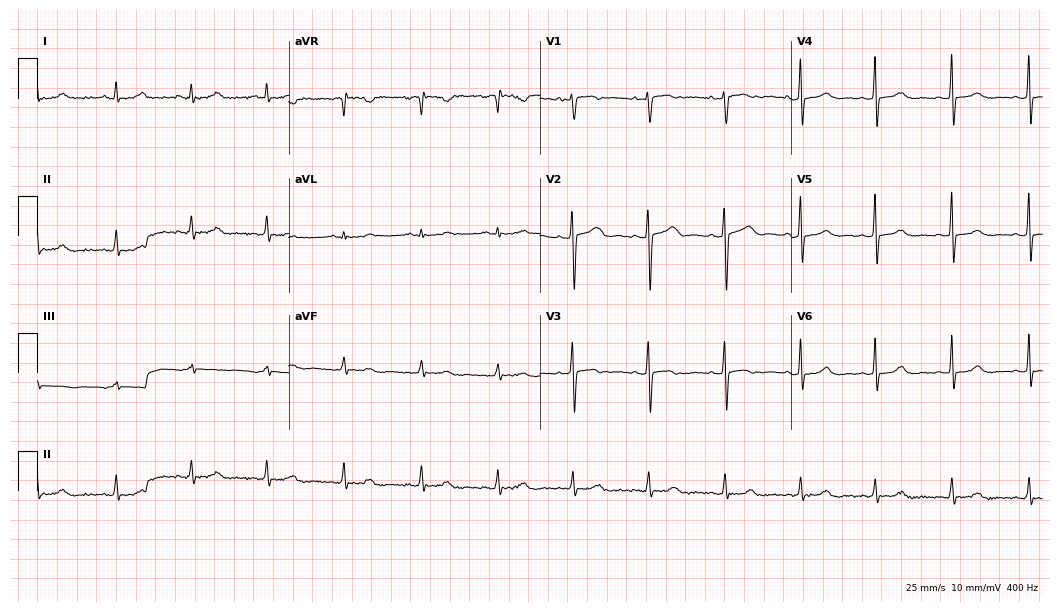
12-lead ECG from a female, 26 years old. Screened for six findings — first-degree AV block, right bundle branch block, left bundle branch block, sinus bradycardia, atrial fibrillation, sinus tachycardia — none is recorded. Other findings, if any, are not listed.